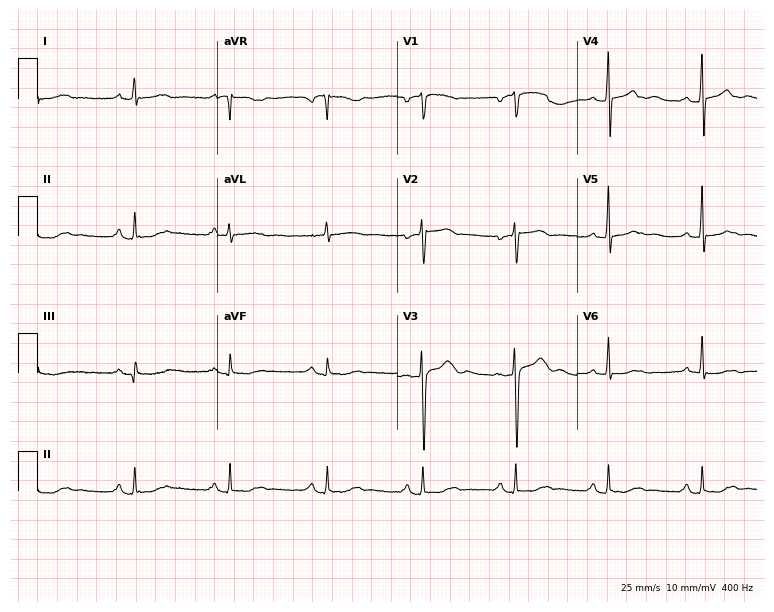
12-lead ECG (7.3-second recording at 400 Hz) from a 52-year-old female patient. Labelled as a normal ECG.